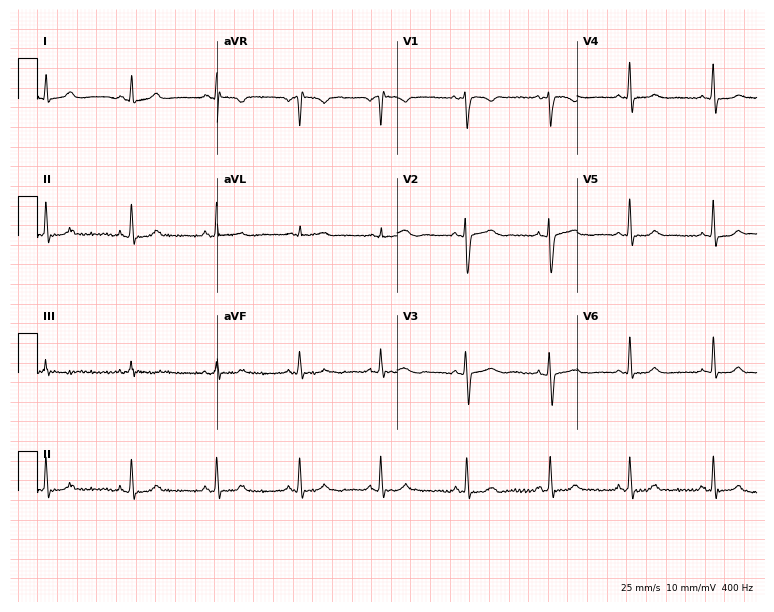
Standard 12-lead ECG recorded from a 25-year-old female patient (7.3-second recording at 400 Hz). Read as a normal ECG.